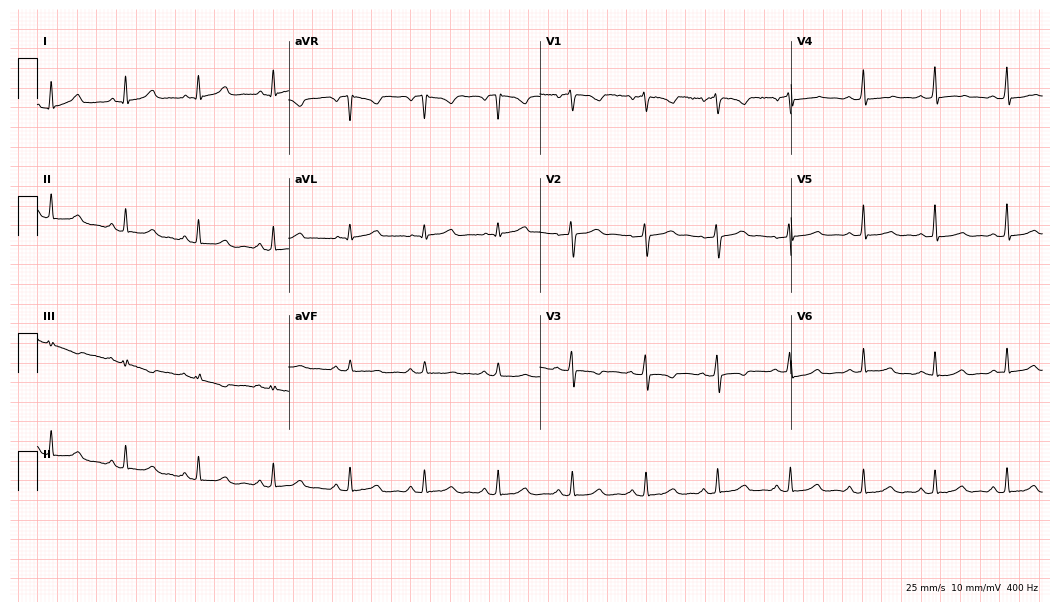
Resting 12-lead electrocardiogram. Patient: a female, 44 years old. Read as a normal ECG.